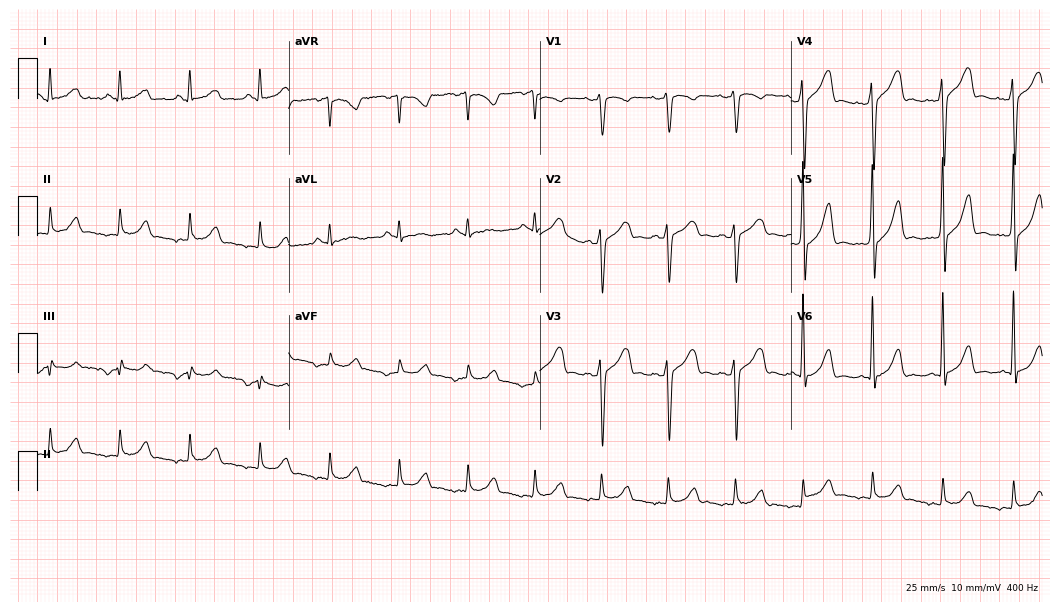
Electrocardiogram (10.2-second recording at 400 Hz), a 46-year-old male patient. Overall reading on record: normal ECG.